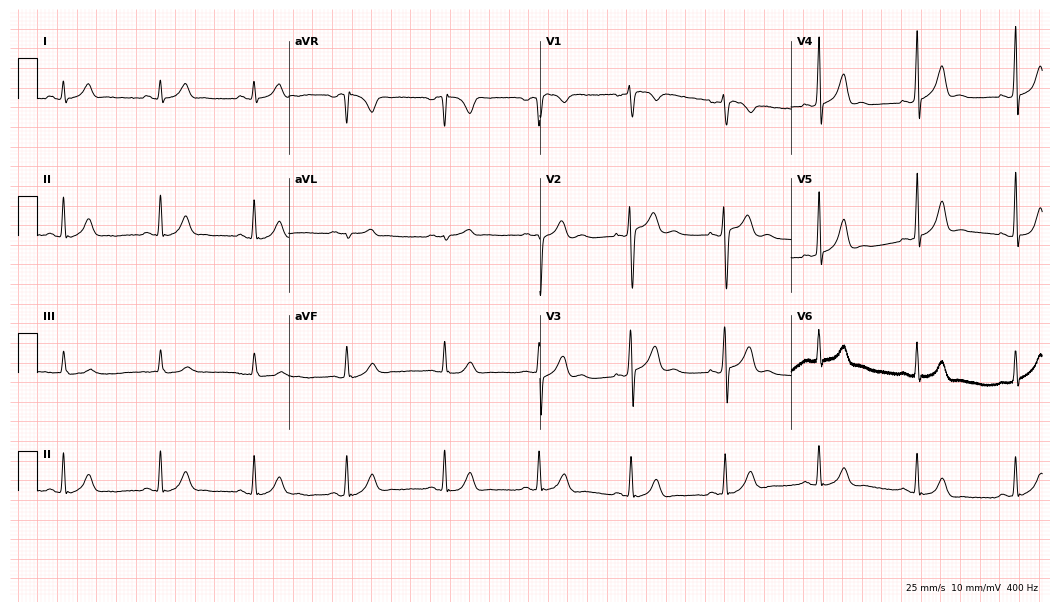
Standard 12-lead ECG recorded from a 28-year-old male patient. Read as a normal ECG.